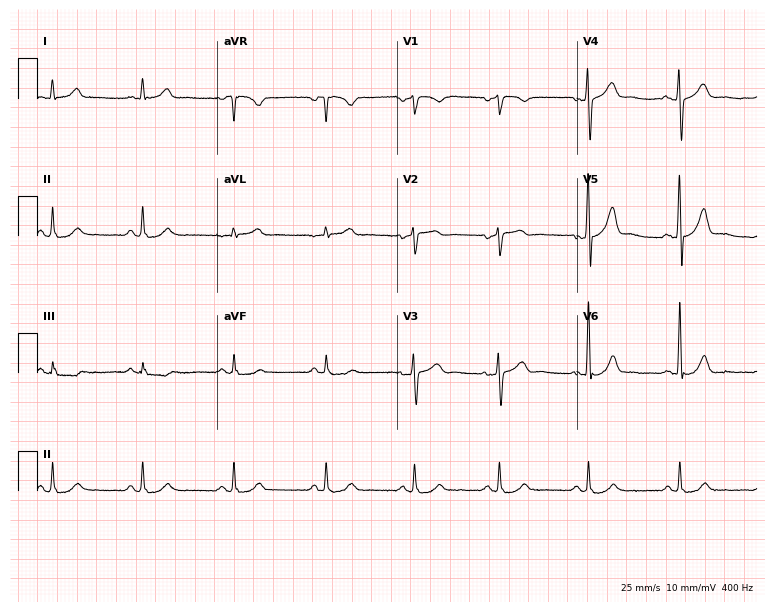
Electrocardiogram (7.3-second recording at 400 Hz), a man, 48 years old. Overall reading on record: normal ECG.